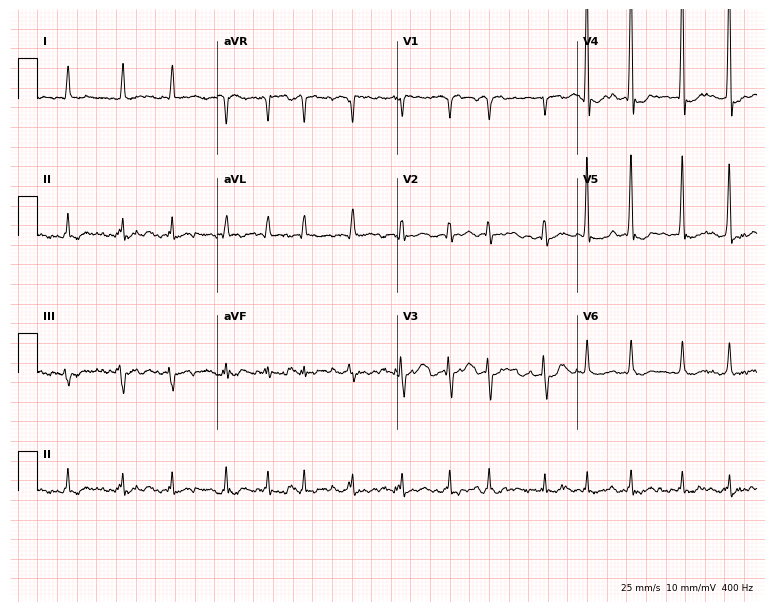
12-lead ECG (7.3-second recording at 400 Hz) from a 78-year-old male patient. Findings include atrial fibrillation (AF).